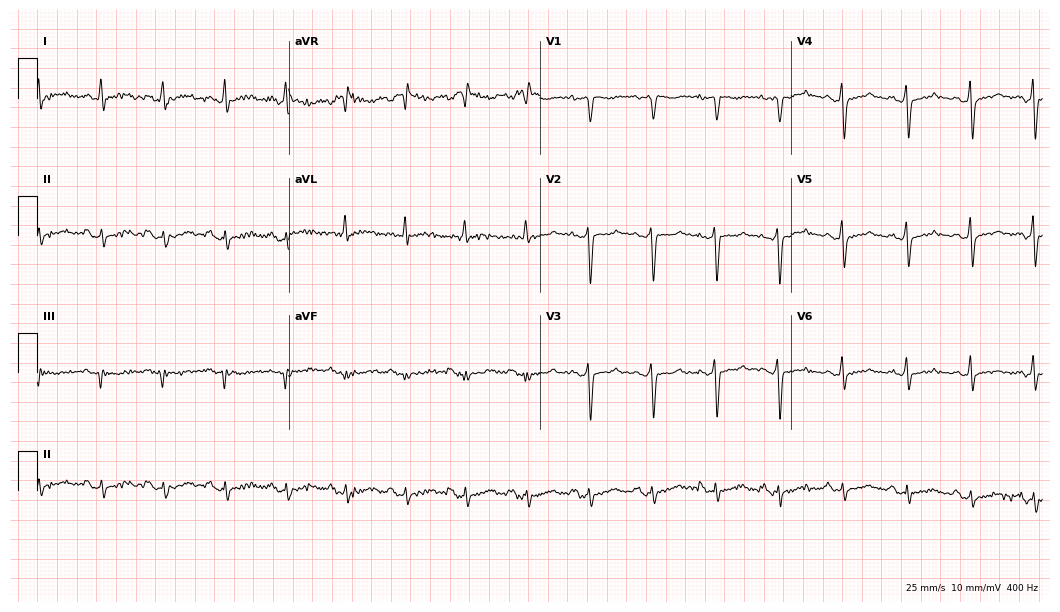
Electrocardiogram, a 50-year-old female. Of the six screened findings (first-degree AV block, right bundle branch block, left bundle branch block, sinus bradycardia, atrial fibrillation, sinus tachycardia), none is recorded. Findings outside these six are not listed.